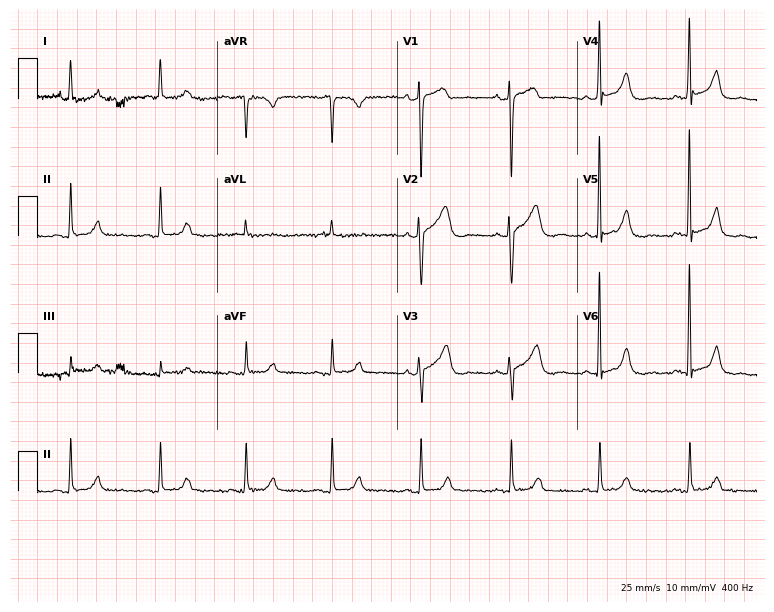
Standard 12-lead ECG recorded from an 86-year-old woman (7.3-second recording at 400 Hz). Read as a normal ECG.